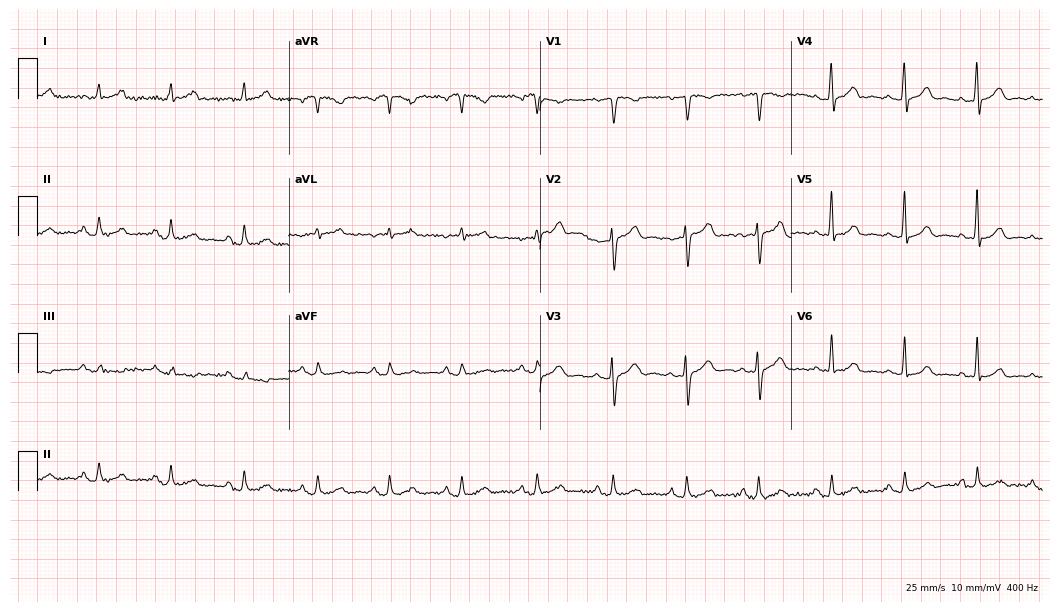
ECG (10.2-second recording at 400 Hz) — a man, 51 years old. Labelled as a normal ECG.